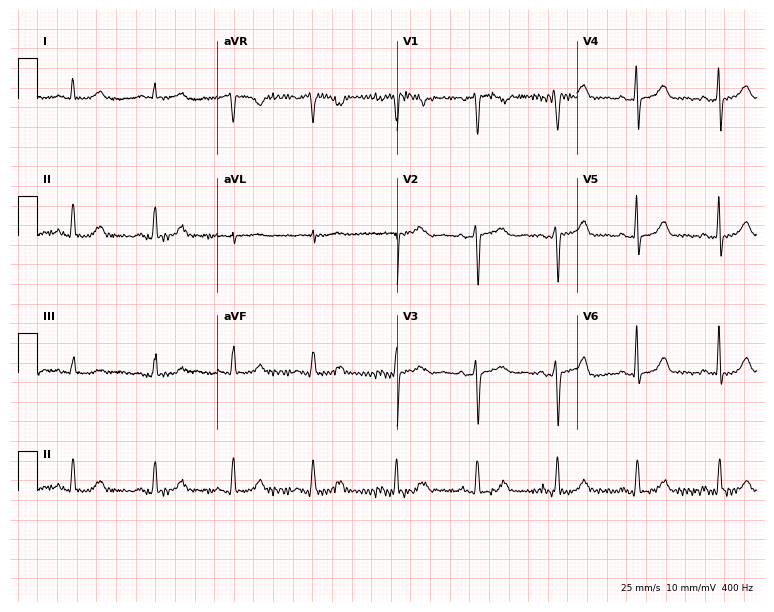
Electrocardiogram (7.3-second recording at 400 Hz), a 55-year-old woman. Of the six screened findings (first-degree AV block, right bundle branch block (RBBB), left bundle branch block (LBBB), sinus bradycardia, atrial fibrillation (AF), sinus tachycardia), none is recorded.